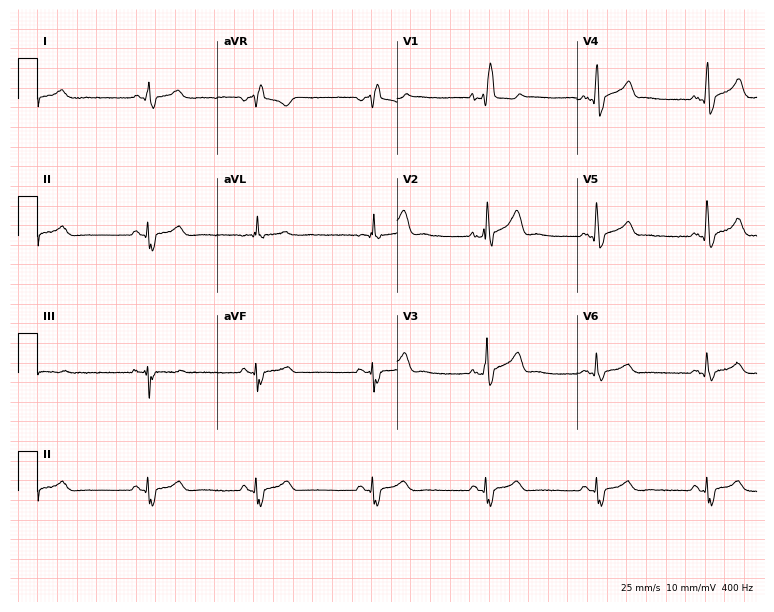
ECG — a 39-year-old male. Findings include right bundle branch block.